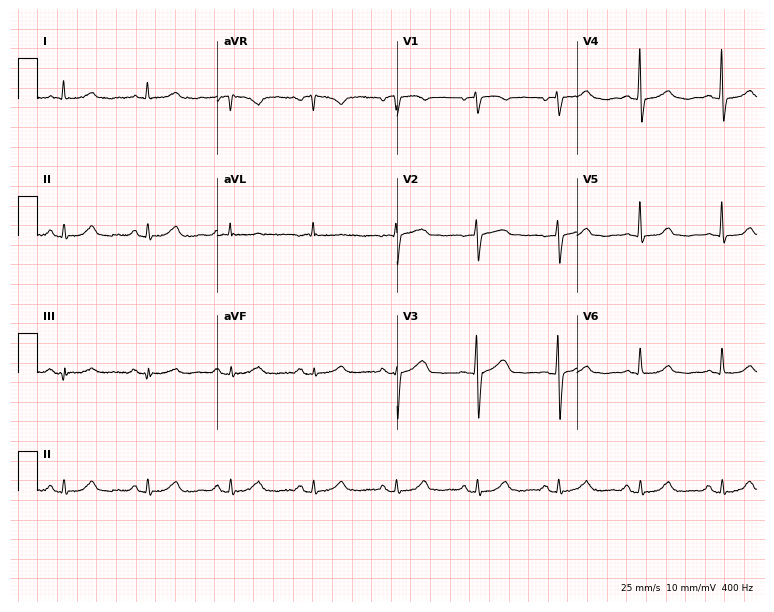
Resting 12-lead electrocardiogram (7.3-second recording at 400 Hz). Patient: a 49-year-old female. None of these six findings is recorded: first-degree AV block, right bundle branch block, left bundle branch block, sinus bradycardia, atrial fibrillation, sinus tachycardia.